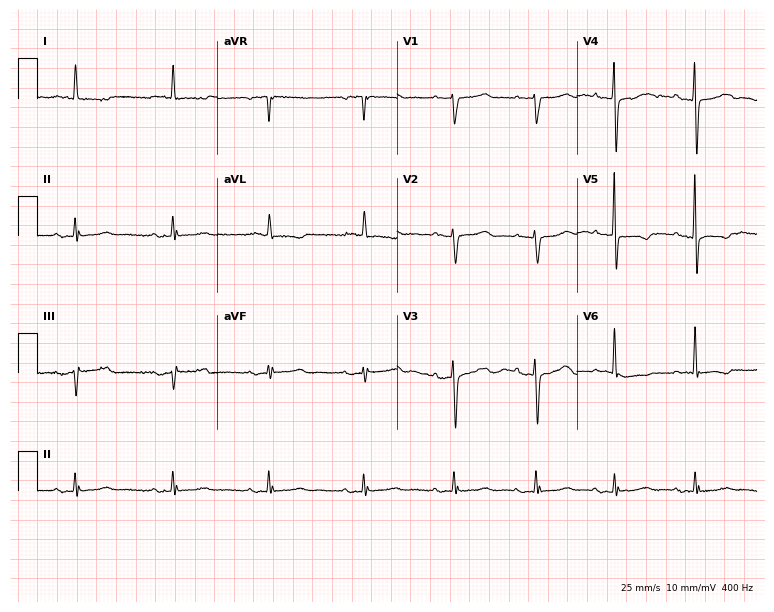
12-lead ECG (7.3-second recording at 400 Hz) from a female, 81 years old. Screened for six findings — first-degree AV block, right bundle branch block, left bundle branch block, sinus bradycardia, atrial fibrillation, sinus tachycardia — none is recorded.